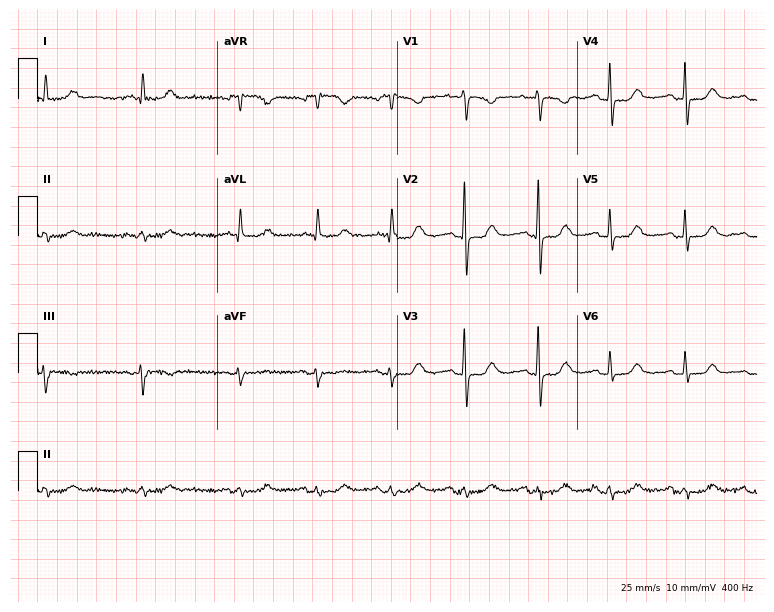
12-lead ECG from a woman, 64 years old. Screened for six findings — first-degree AV block, right bundle branch block, left bundle branch block, sinus bradycardia, atrial fibrillation, sinus tachycardia — none is recorded. Findings outside these six are not listed.